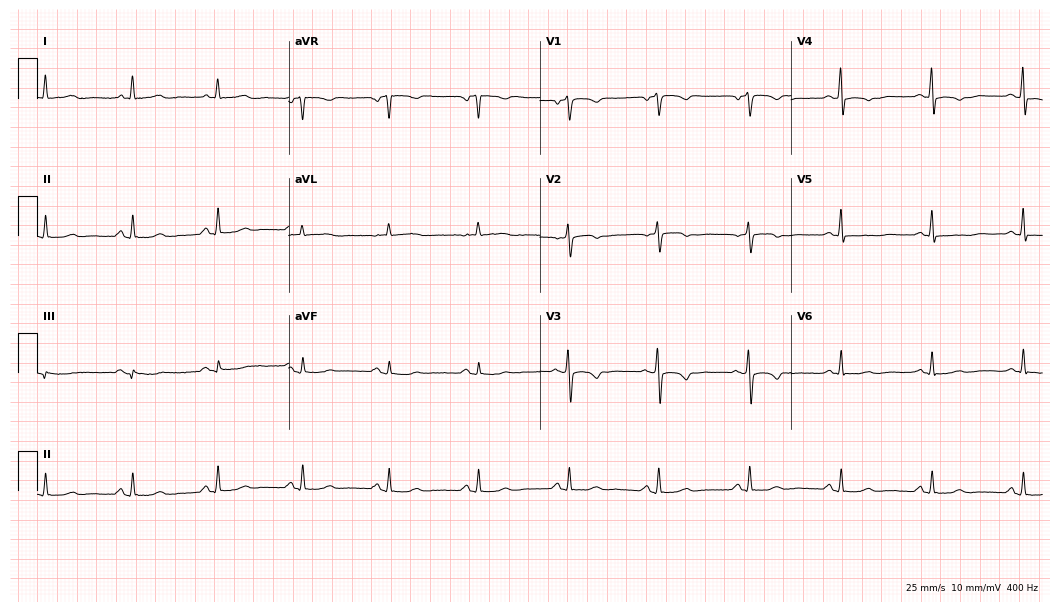
12-lead ECG from a female patient, 52 years old. No first-degree AV block, right bundle branch block, left bundle branch block, sinus bradycardia, atrial fibrillation or sinus tachycardia recorded for this tracing.